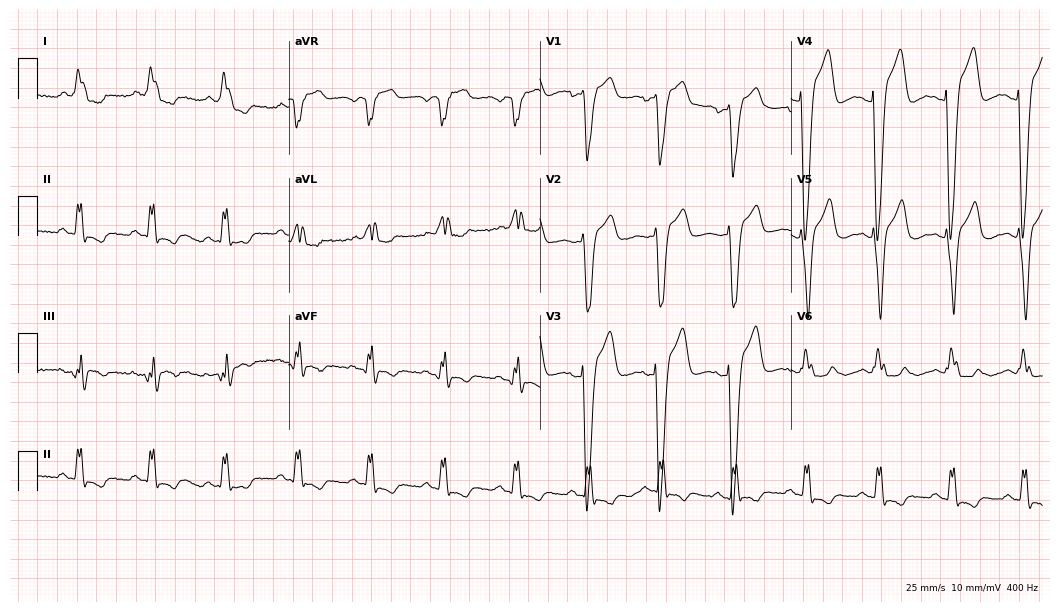
Standard 12-lead ECG recorded from a female patient, 72 years old. None of these six findings is recorded: first-degree AV block, right bundle branch block, left bundle branch block, sinus bradycardia, atrial fibrillation, sinus tachycardia. Other findings, if any, are not listed.